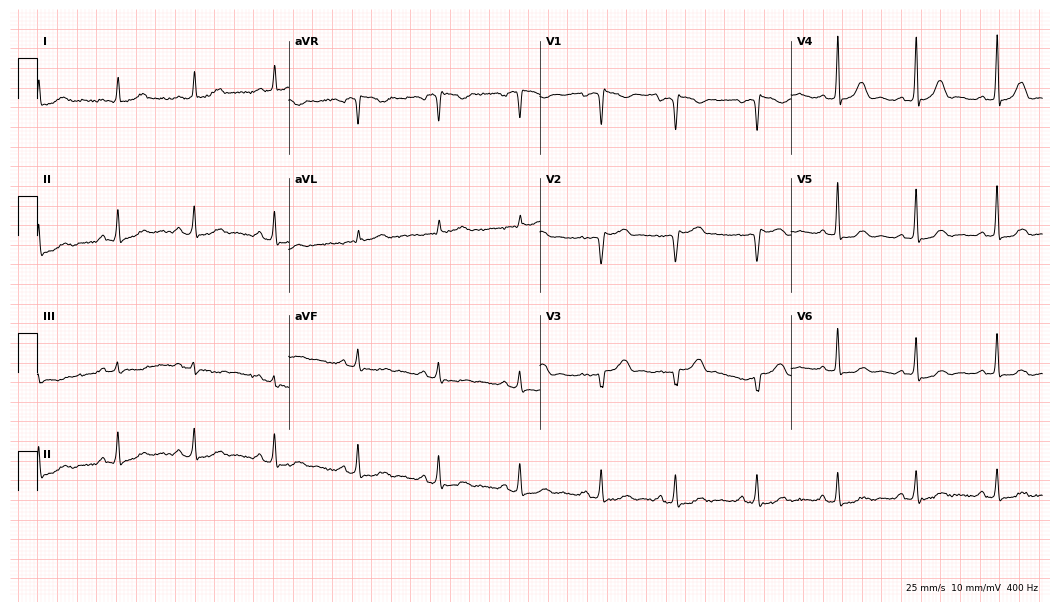
ECG (10.2-second recording at 400 Hz) — a man, 76 years old. Screened for six findings — first-degree AV block, right bundle branch block, left bundle branch block, sinus bradycardia, atrial fibrillation, sinus tachycardia — none is recorded. Findings outside these six are not listed.